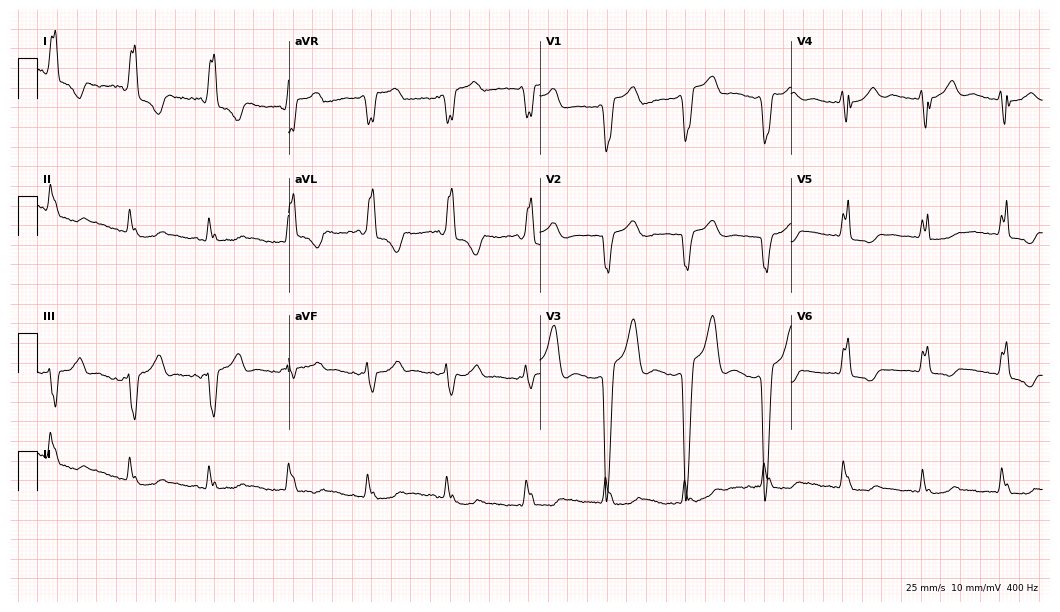
12-lead ECG from a 77-year-old woman. Shows left bundle branch block.